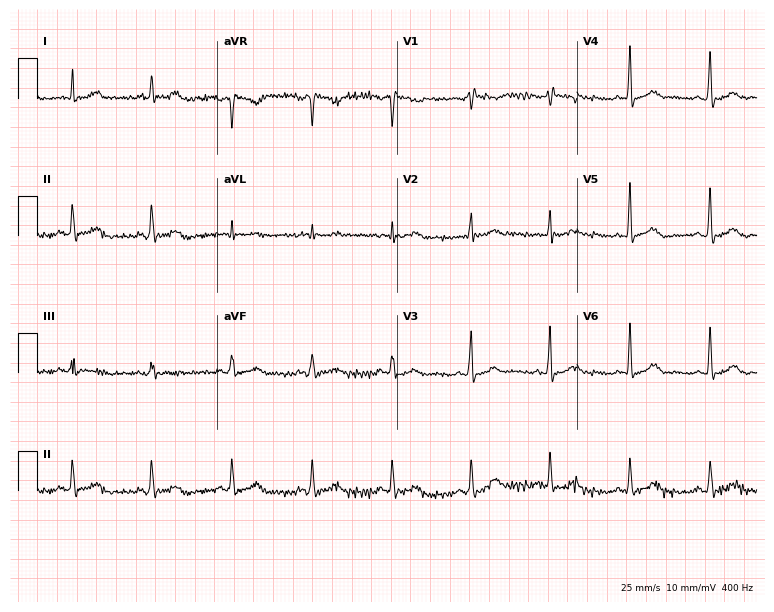
ECG (7.3-second recording at 400 Hz) — a female, 57 years old. Screened for six findings — first-degree AV block, right bundle branch block (RBBB), left bundle branch block (LBBB), sinus bradycardia, atrial fibrillation (AF), sinus tachycardia — none is recorded. Only these six findings were labelled.